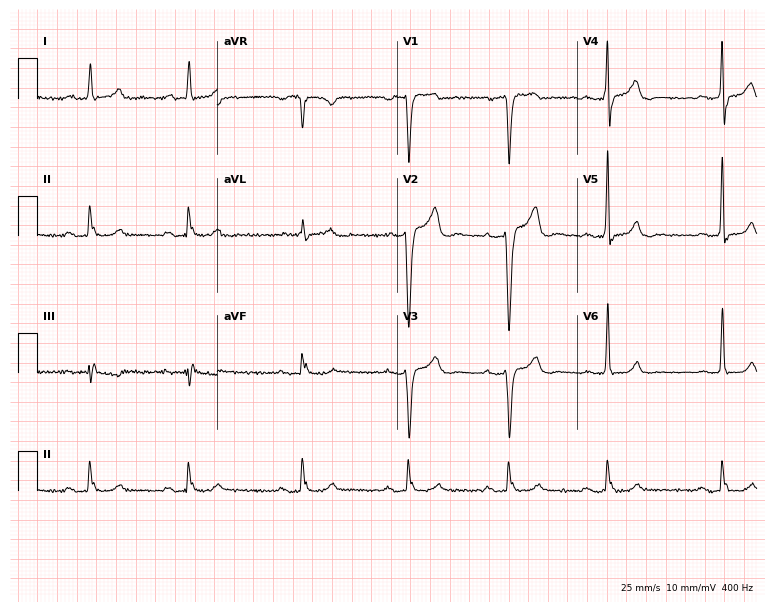
12-lead ECG from an 81-year-old man. Shows first-degree AV block.